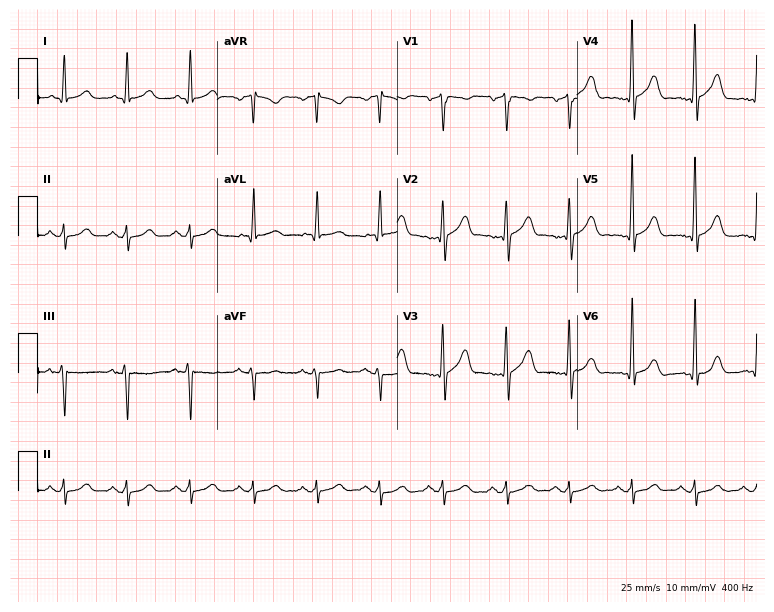
ECG — a 56-year-old male. Labelled as a normal ECG.